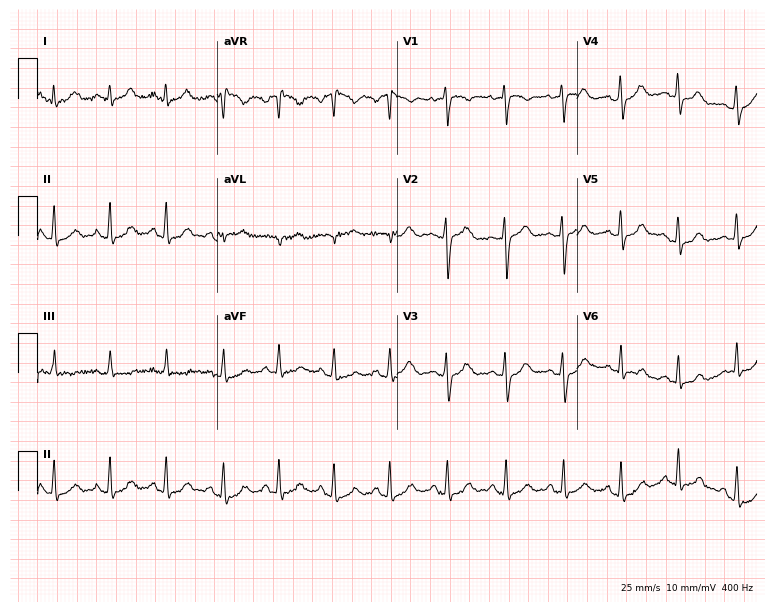
ECG (7.3-second recording at 400 Hz) — a female, 23 years old. Findings include sinus tachycardia (a sinus rate of 100 beats per minute or more).